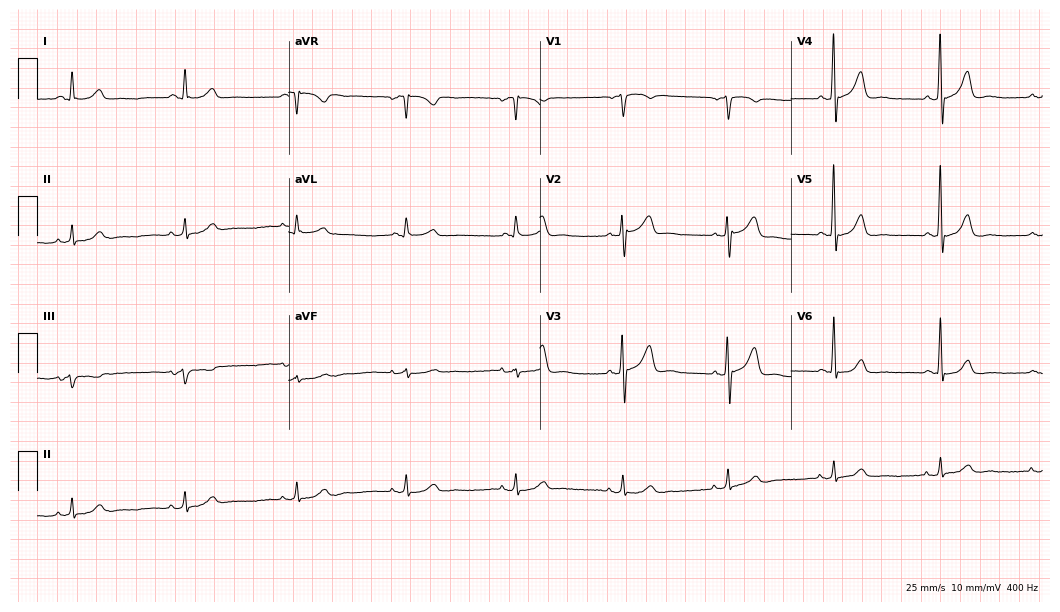
12-lead ECG (10.2-second recording at 400 Hz) from a male, 64 years old. Labelled as a normal ECG.